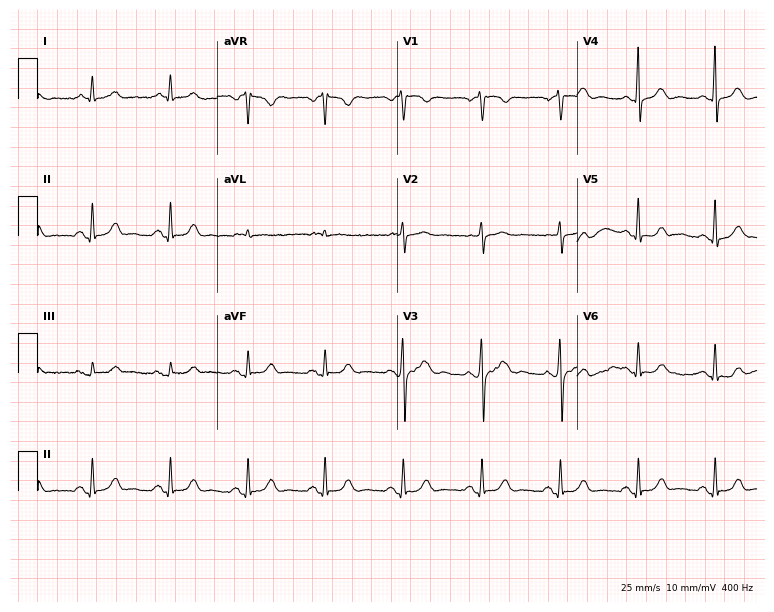
Standard 12-lead ECG recorded from a 77-year-old man. Read as a normal ECG.